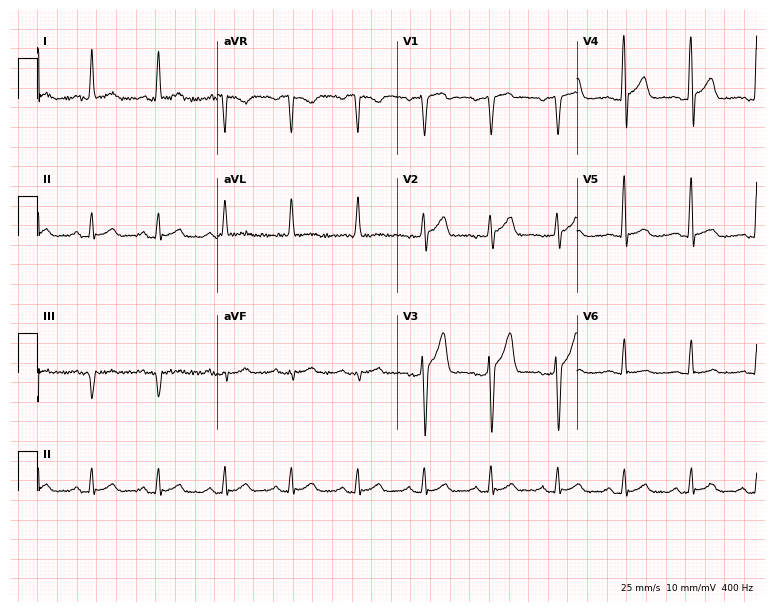
12-lead ECG from a 70-year-old man. Recorded interpretation: within normal limits.